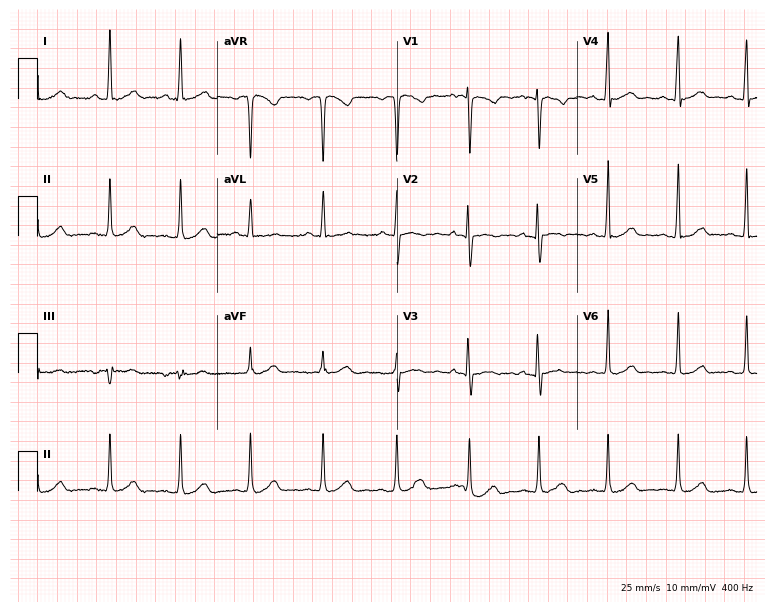
Electrocardiogram, a woman, 28 years old. Of the six screened findings (first-degree AV block, right bundle branch block, left bundle branch block, sinus bradycardia, atrial fibrillation, sinus tachycardia), none is recorded. Only these six findings were labelled.